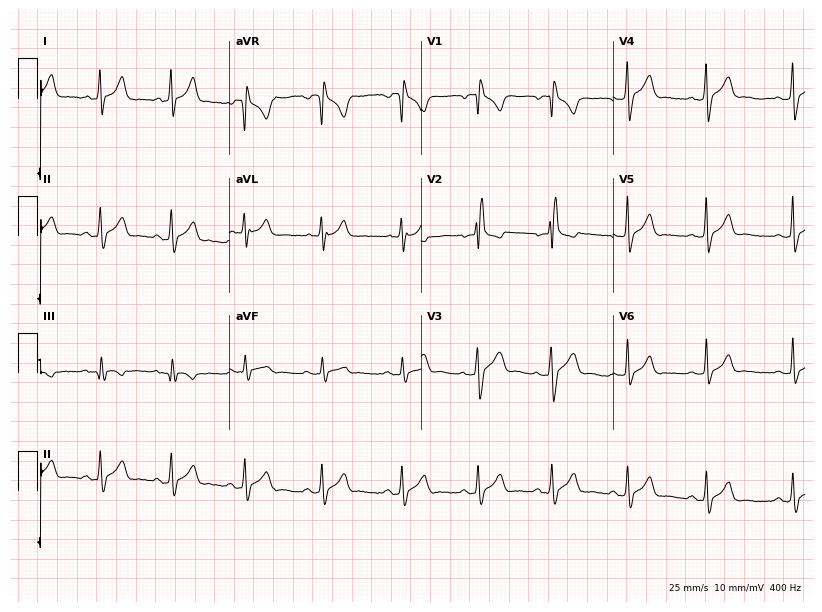
Electrocardiogram (7.8-second recording at 400 Hz), a 24-year-old man. Of the six screened findings (first-degree AV block, right bundle branch block, left bundle branch block, sinus bradycardia, atrial fibrillation, sinus tachycardia), none is recorded.